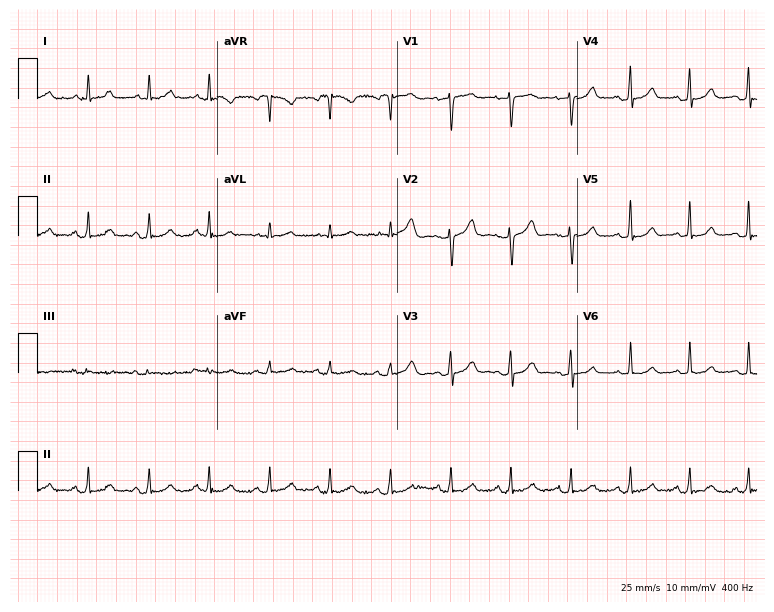
ECG — a 41-year-old female. Screened for six findings — first-degree AV block, right bundle branch block (RBBB), left bundle branch block (LBBB), sinus bradycardia, atrial fibrillation (AF), sinus tachycardia — none is recorded. Findings outside these six are not listed.